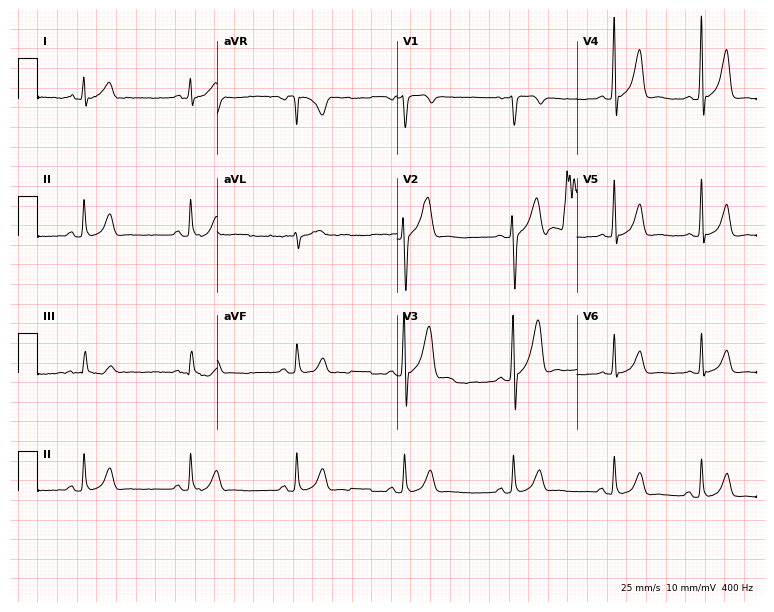
Electrocardiogram (7.3-second recording at 400 Hz), a male patient, 38 years old. Of the six screened findings (first-degree AV block, right bundle branch block (RBBB), left bundle branch block (LBBB), sinus bradycardia, atrial fibrillation (AF), sinus tachycardia), none is recorded.